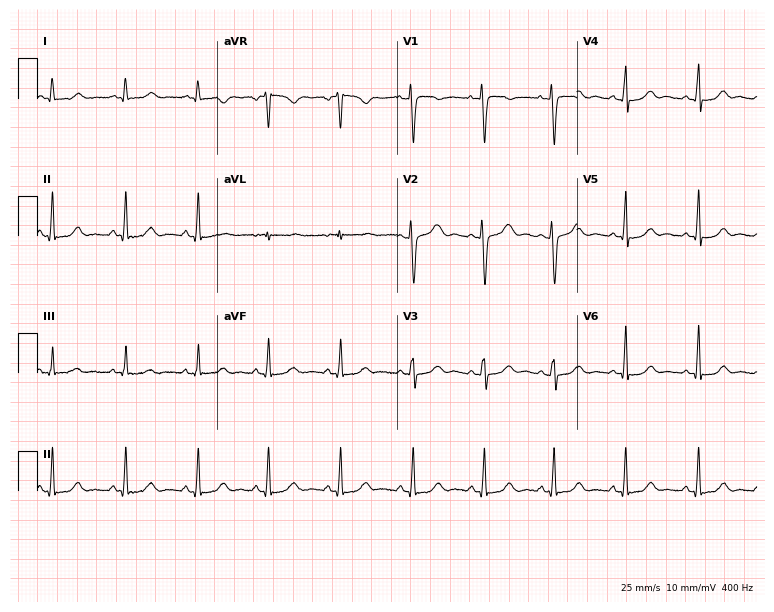
12-lead ECG from a woman, 32 years old. Recorded interpretation: within normal limits.